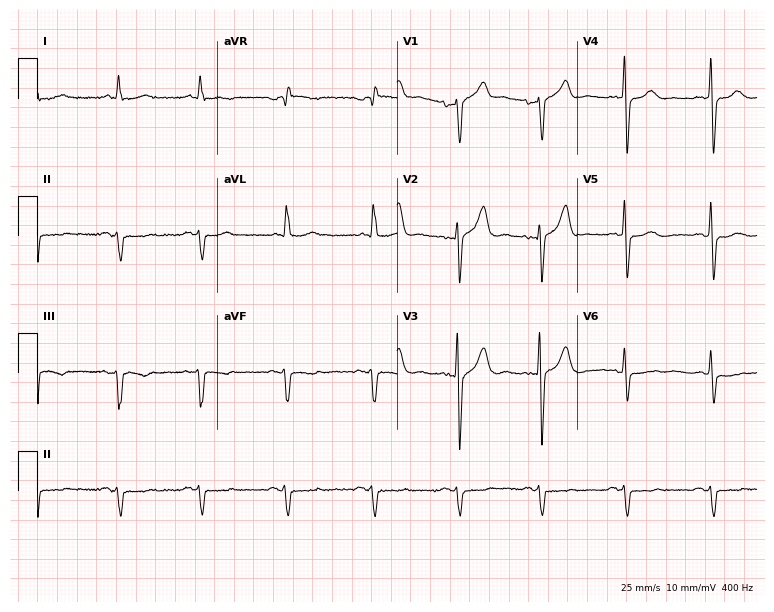
Electrocardiogram (7.3-second recording at 400 Hz), a male, 72 years old. Of the six screened findings (first-degree AV block, right bundle branch block, left bundle branch block, sinus bradycardia, atrial fibrillation, sinus tachycardia), none is recorded.